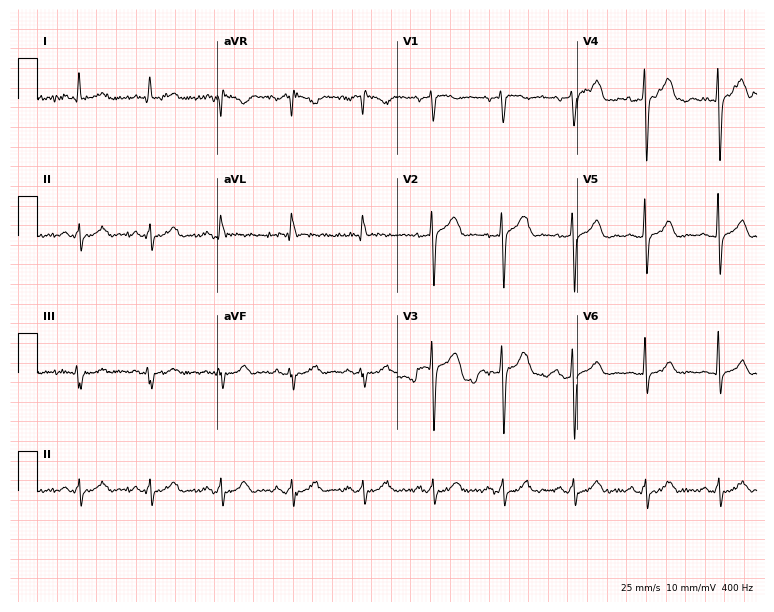
12-lead ECG from a male, 47 years old. Recorded interpretation: within normal limits.